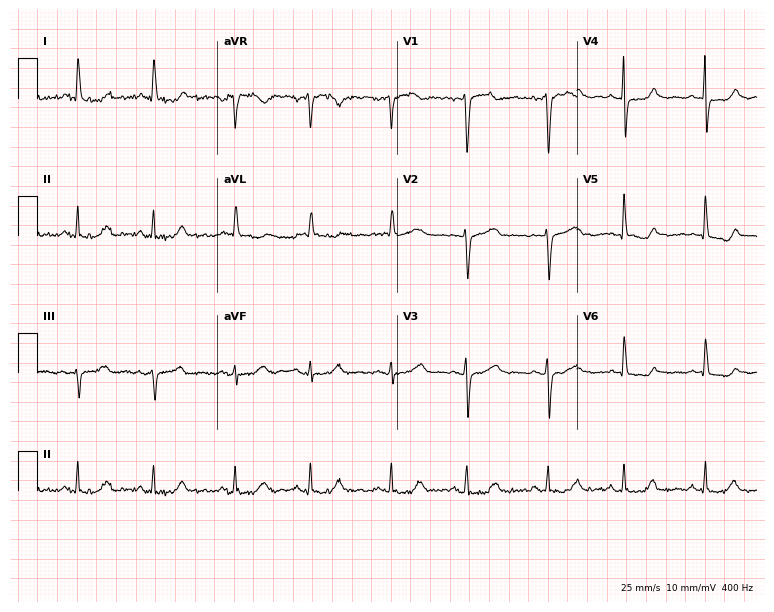
ECG — a 51-year-old woman. Screened for six findings — first-degree AV block, right bundle branch block (RBBB), left bundle branch block (LBBB), sinus bradycardia, atrial fibrillation (AF), sinus tachycardia — none is recorded.